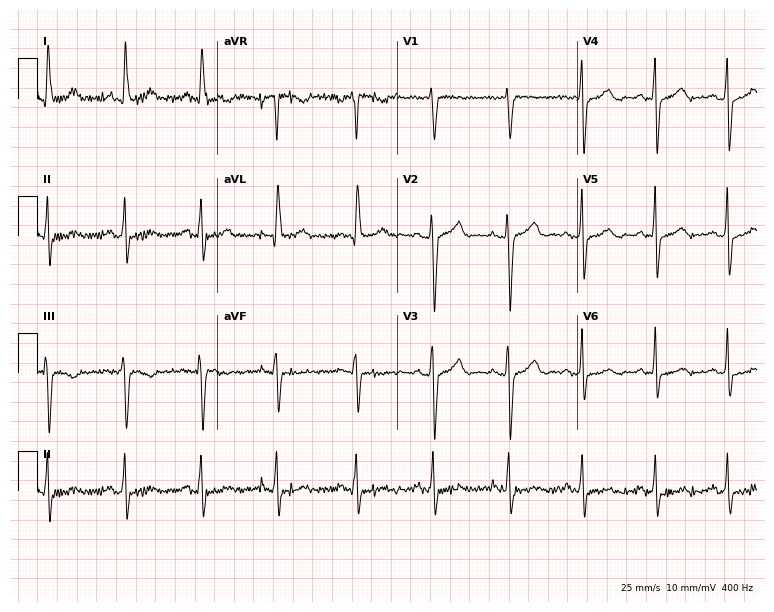
Resting 12-lead electrocardiogram (7.3-second recording at 400 Hz). Patient: a woman, 57 years old. Read as a normal ECG.